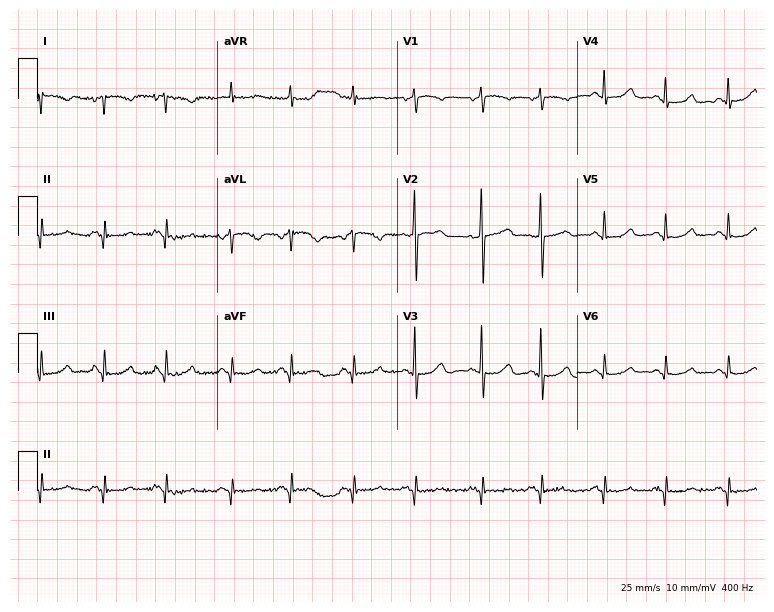
12-lead ECG (7.3-second recording at 400 Hz) from a female patient, 71 years old. Screened for six findings — first-degree AV block, right bundle branch block (RBBB), left bundle branch block (LBBB), sinus bradycardia, atrial fibrillation (AF), sinus tachycardia — none is recorded. Only these six findings were labelled.